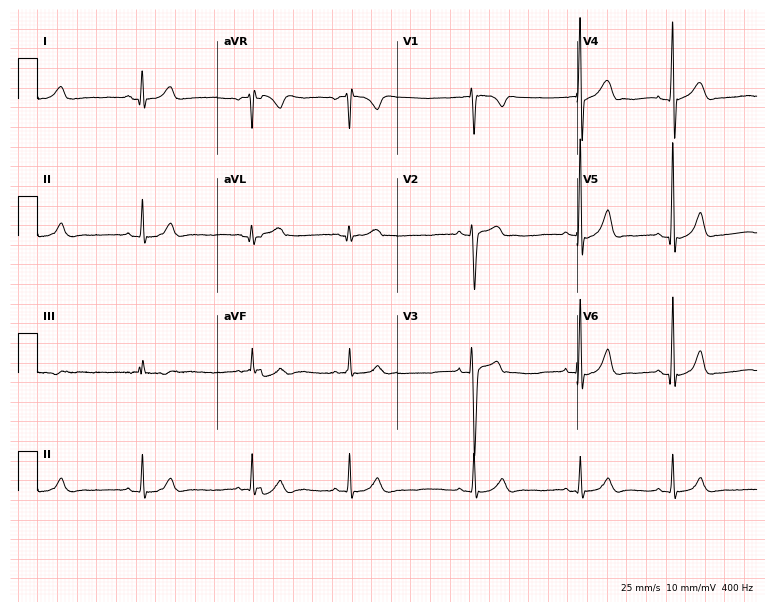
ECG — a male patient, 21 years old. Labelled as a normal ECG.